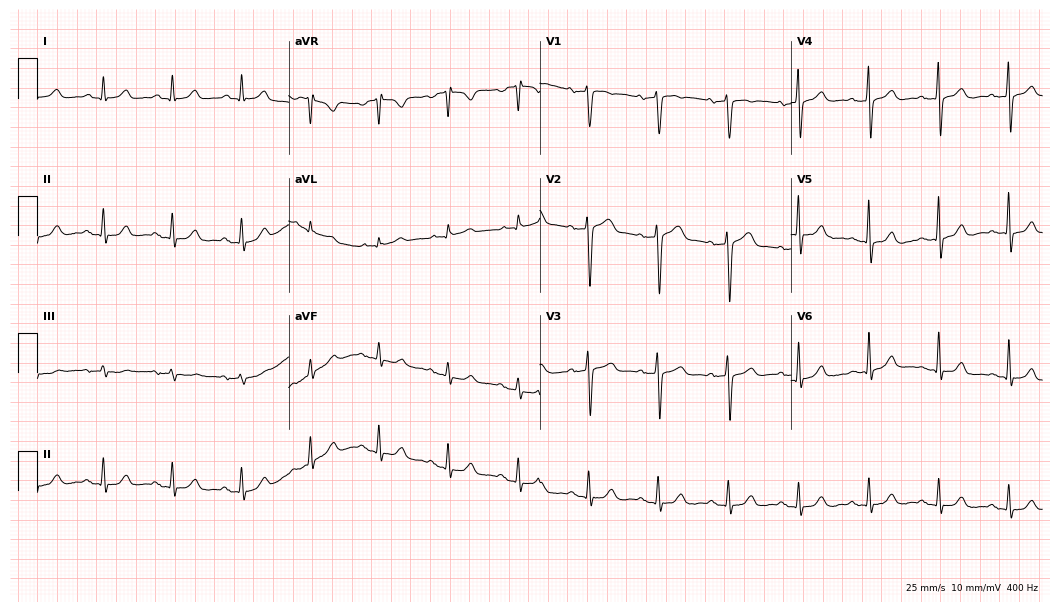
Resting 12-lead electrocardiogram (10.2-second recording at 400 Hz). Patient: a 55-year-old male. Read as a normal ECG.